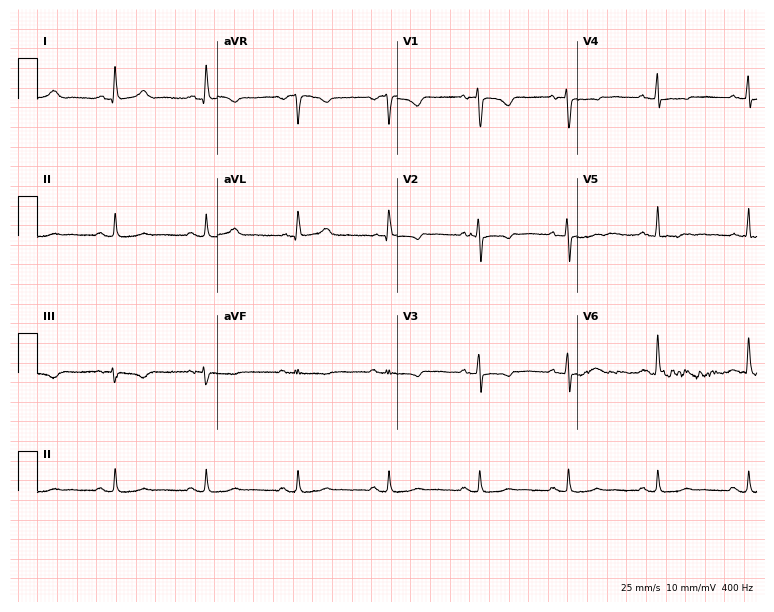
Resting 12-lead electrocardiogram (7.3-second recording at 400 Hz). Patient: a female, 51 years old. Read as a normal ECG.